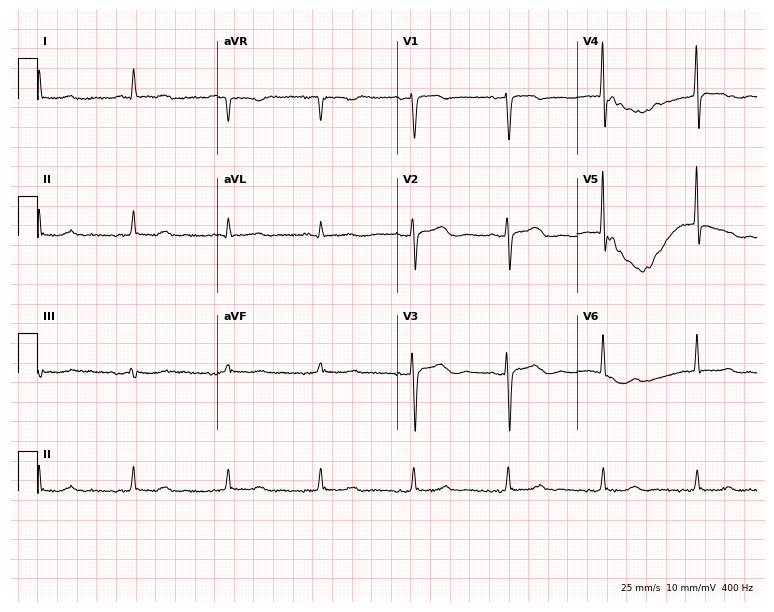
Standard 12-lead ECG recorded from a 73-year-old woman (7.3-second recording at 400 Hz). None of these six findings is recorded: first-degree AV block, right bundle branch block, left bundle branch block, sinus bradycardia, atrial fibrillation, sinus tachycardia.